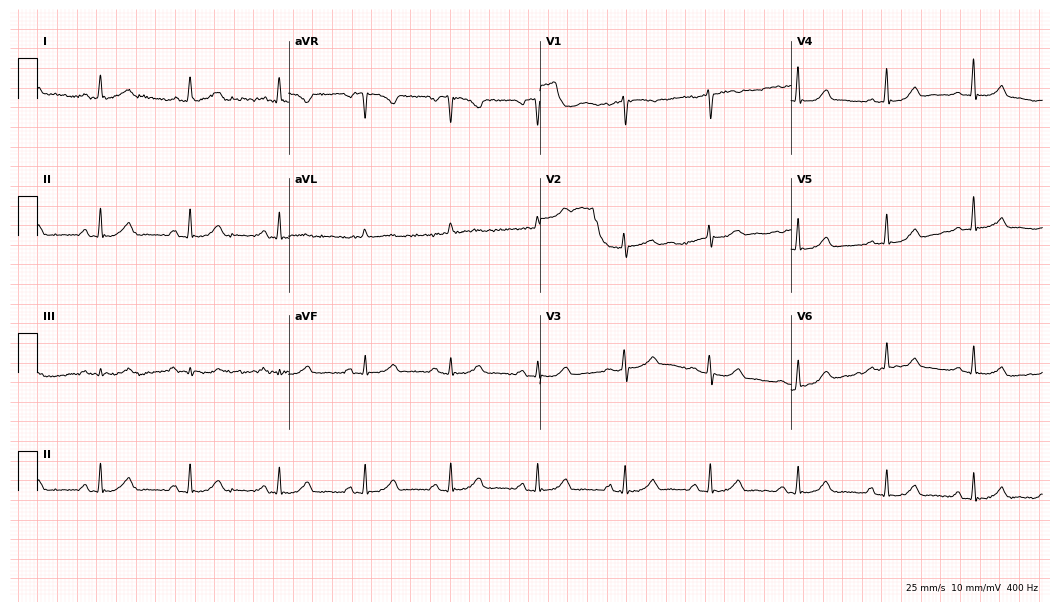
Standard 12-lead ECG recorded from a female, 56 years old. Read as a normal ECG.